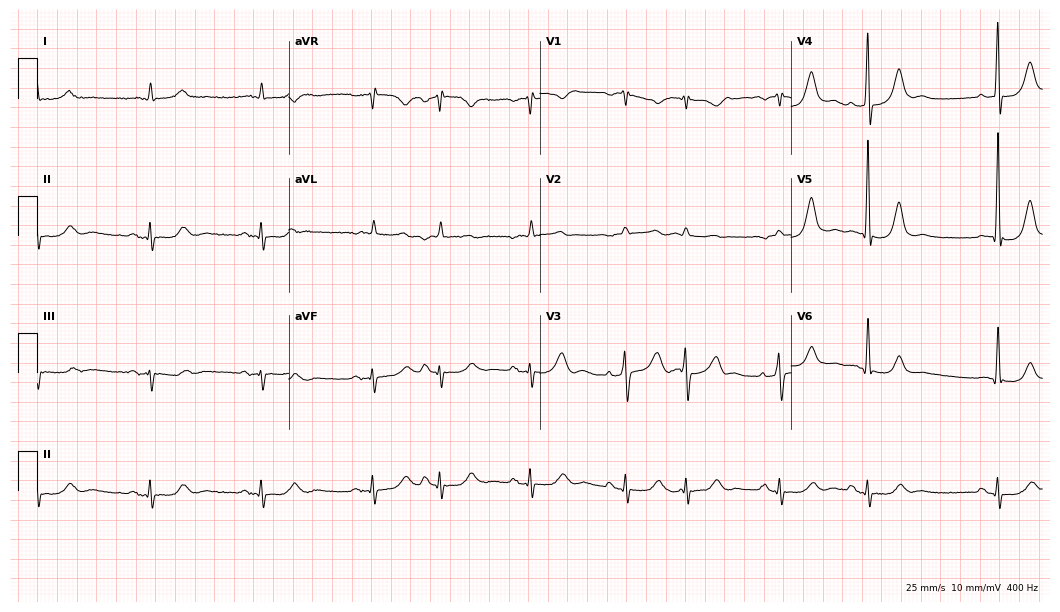
Standard 12-lead ECG recorded from a man, 83 years old. Read as a normal ECG.